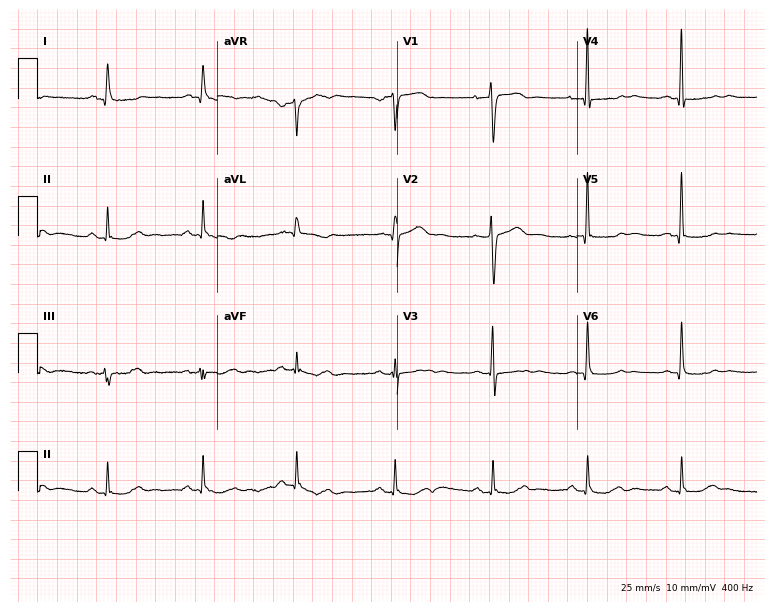
Standard 12-lead ECG recorded from a 76-year-old female (7.3-second recording at 400 Hz). None of these six findings is recorded: first-degree AV block, right bundle branch block, left bundle branch block, sinus bradycardia, atrial fibrillation, sinus tachycardia.